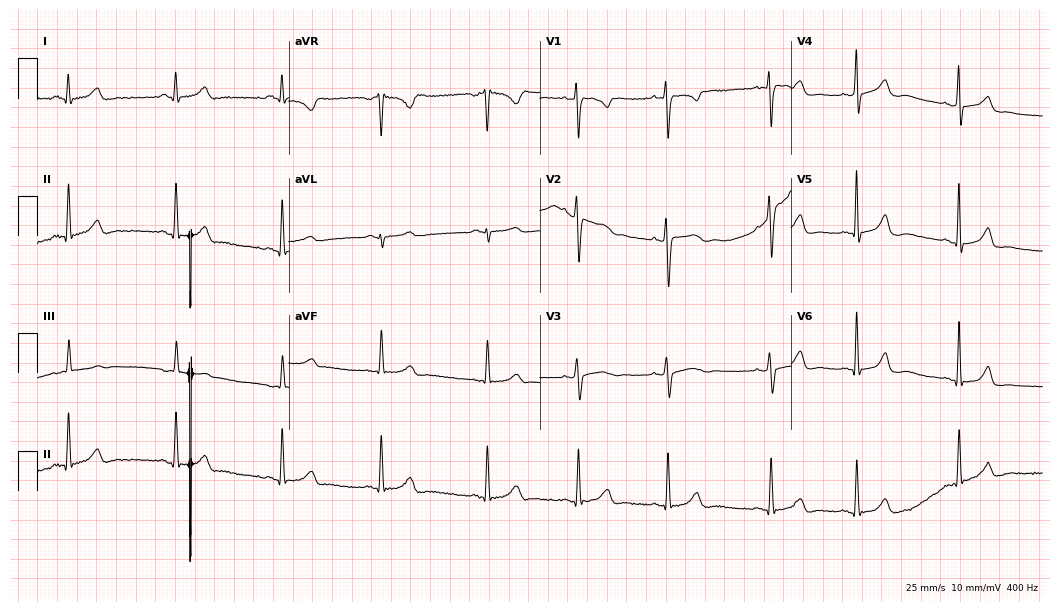
Electrocardiogram, a 26-year-old woman. Of the six screened findings (first-degree AV block, right bundle branch block (RBBB), left bundle branch block (LBBB), sinus bradycardia, atrial fibrillation (AF), sinus tachycardia), none is recorded. Only these six findings were labelled.